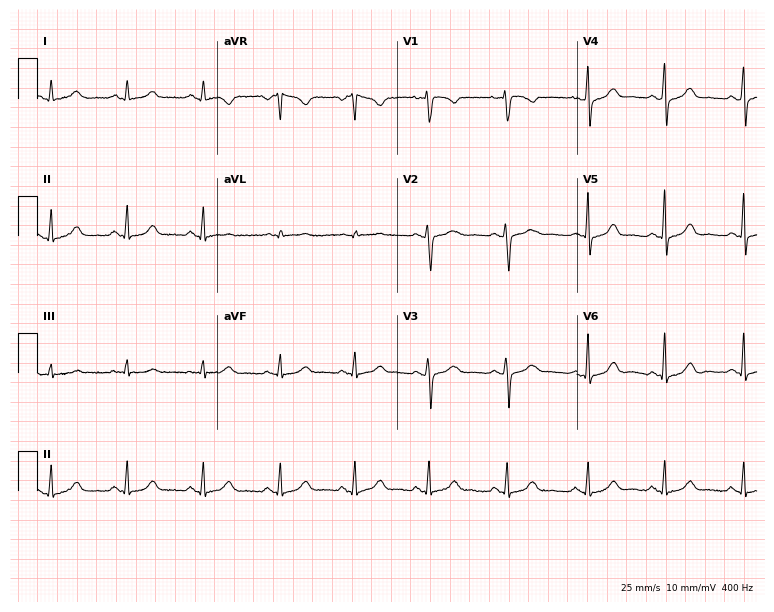
Standard 12-lead ECG recorded from a female, 41 years old (7.3-second recording at 400 Hz). None of these six findings is recorded: first-degree AV block, right bundle branch block, left bundle branch block, sinus bradycardia, atrial fibrillation, sinus tachycardia. Findings outside these six are not listed.